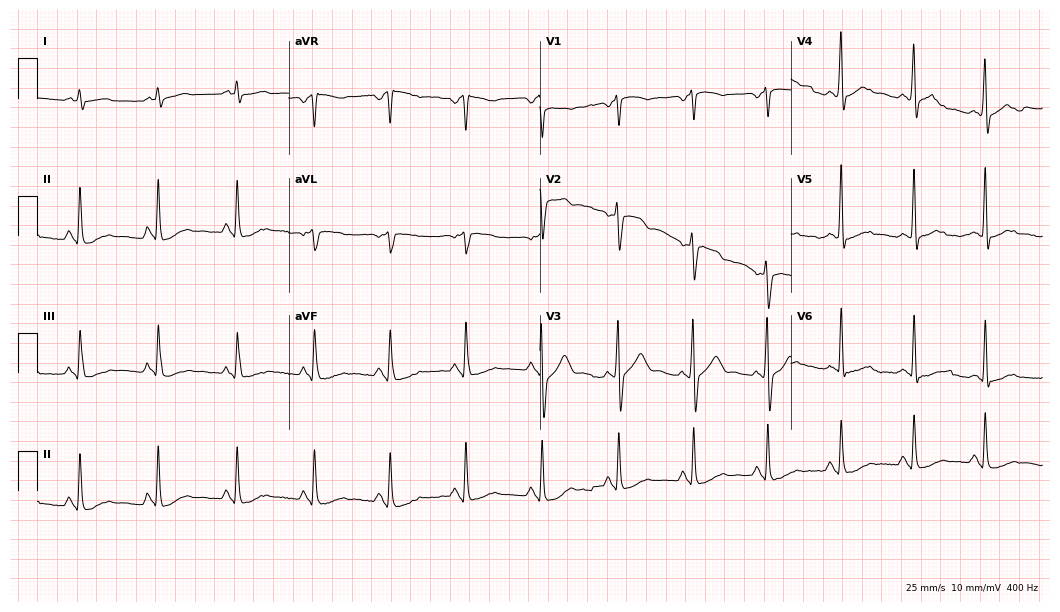
Electrocardiogram, a 62-year-old man. Of the six screened findings (first-degree AV block, right bundle branch block (RBBB), left bundle branch block (LBBB), sinus bradycardia, atrial fibrillation (AF), sinus tachycardia), none is recorded.